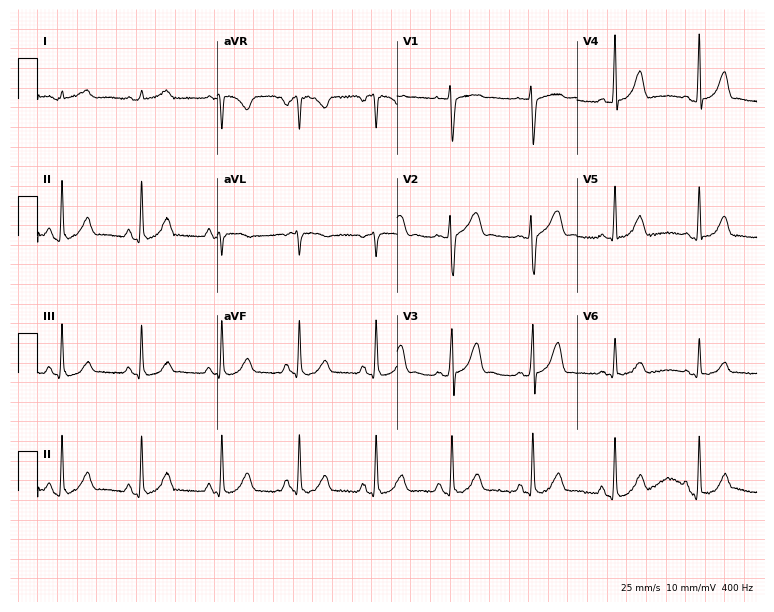
Resting 12-lead electrocardiogram. Patient: an 18-year-old female. Read as a normal ECG.